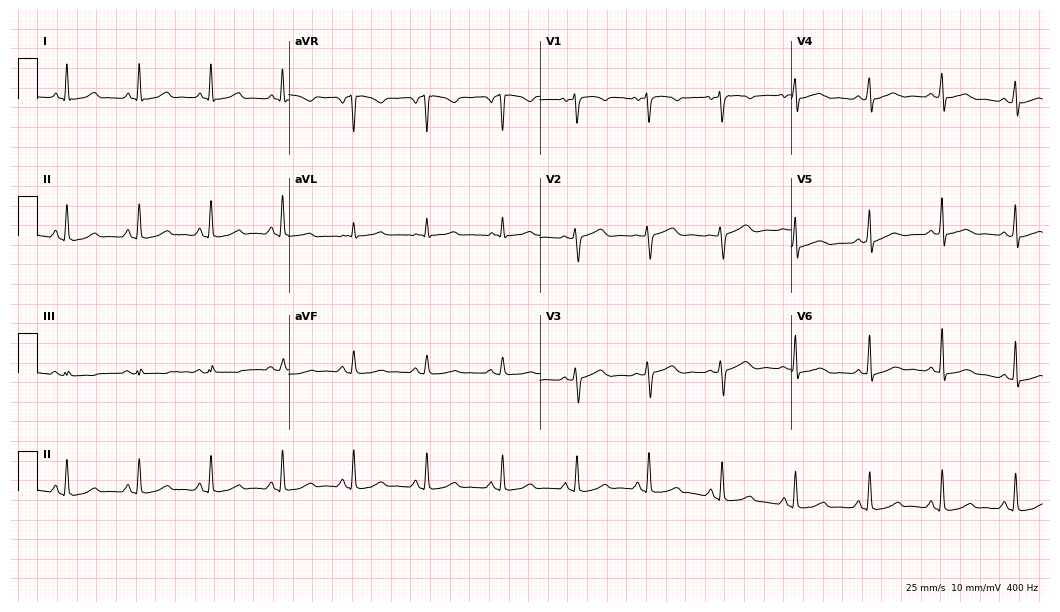
Electrocardiogram, a 51-year-old female patient. Overall reading on record: normal ECG.